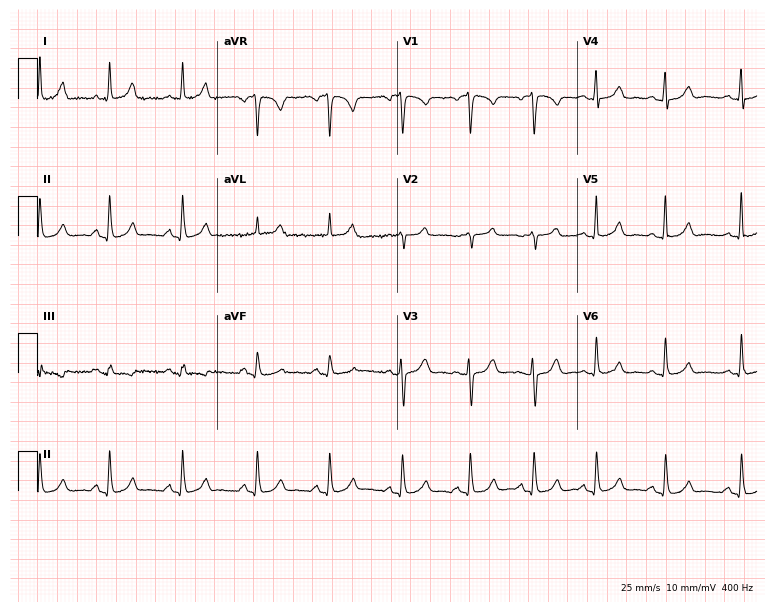
Electrocardiogram (7.3-second recording at 400 Hz), a female, 41 years old. Overall reading on record: normal ECG.